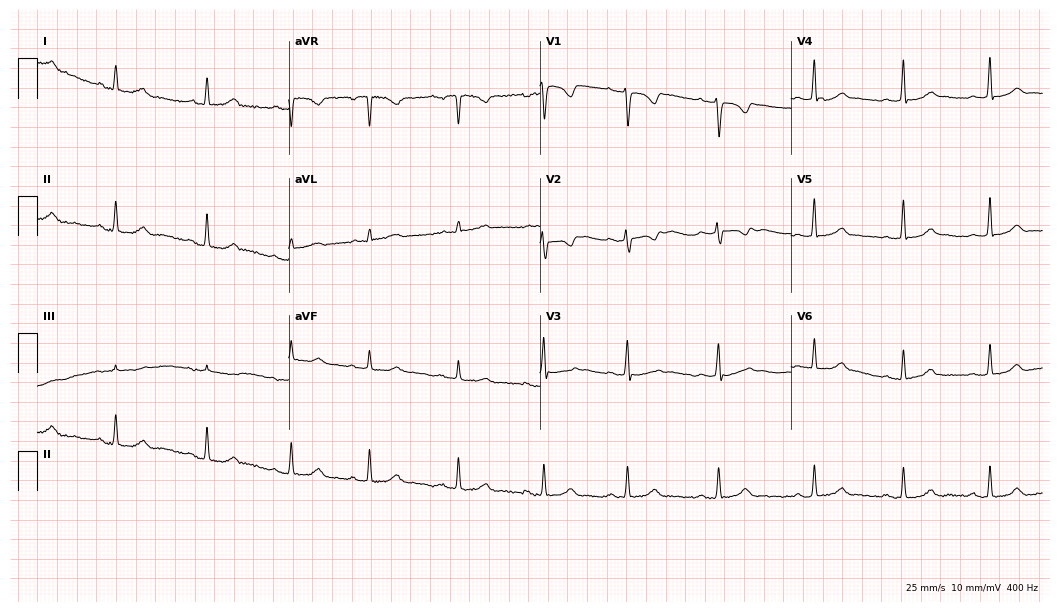
12-lead ECG (10.2-second recording at 400 Hz) from a 25-year-old female. Labelled as a normal ECG.